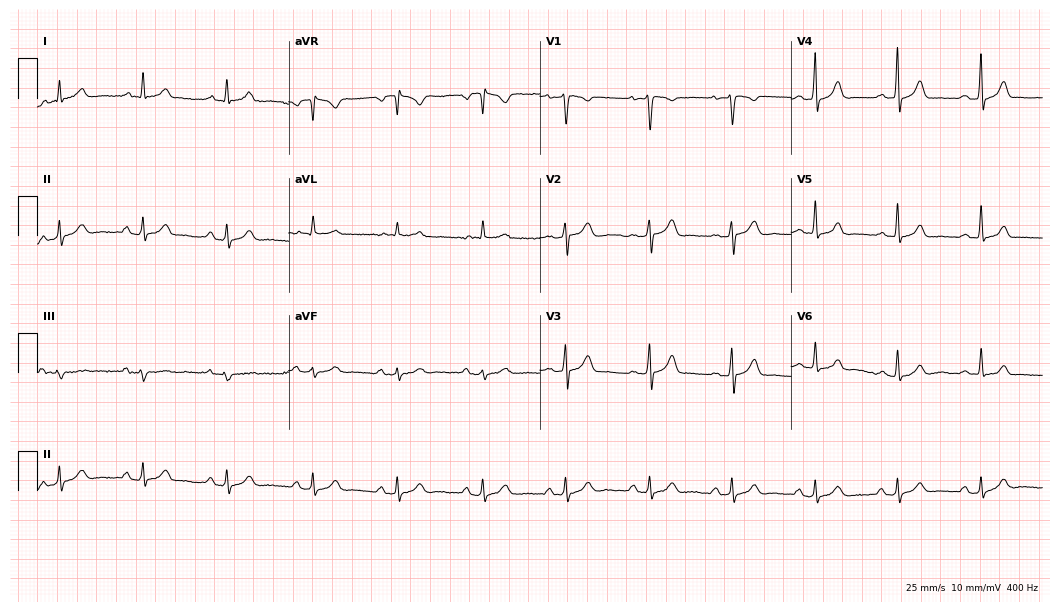
Electrocardiogram (10.2-second recording at 400 Hz), a 41-year-old woman. Overall reading on record: normal ECG.